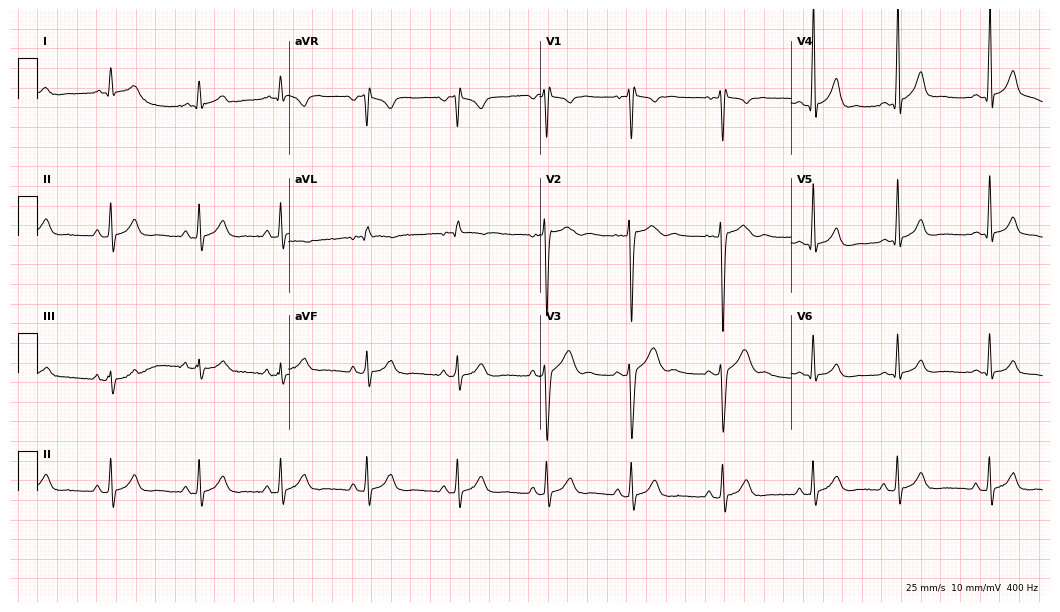
Standard 12-lead ECG recorded from a male patient, 18 years old (10.2-second recording at 400 Hz). Read as a normal ECG.